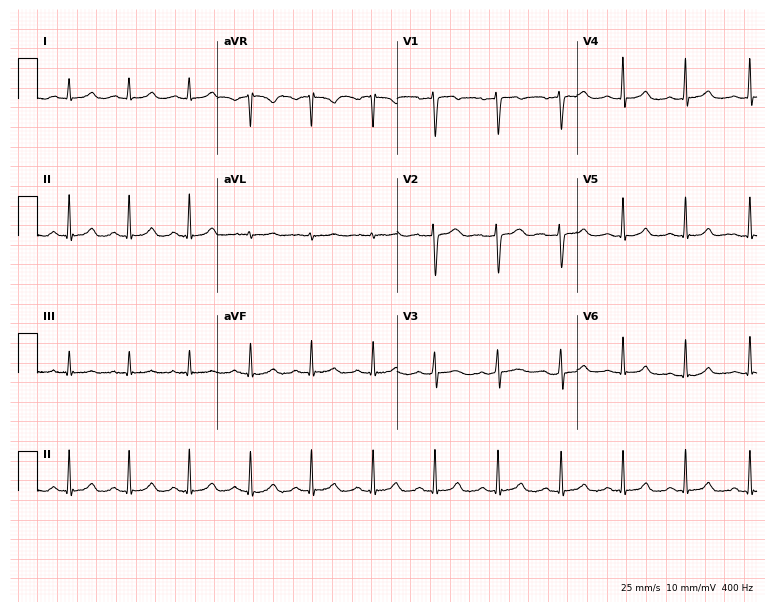
12-lead ECG from a 20-year-old woman. Recorded interpretation: within normal limits.